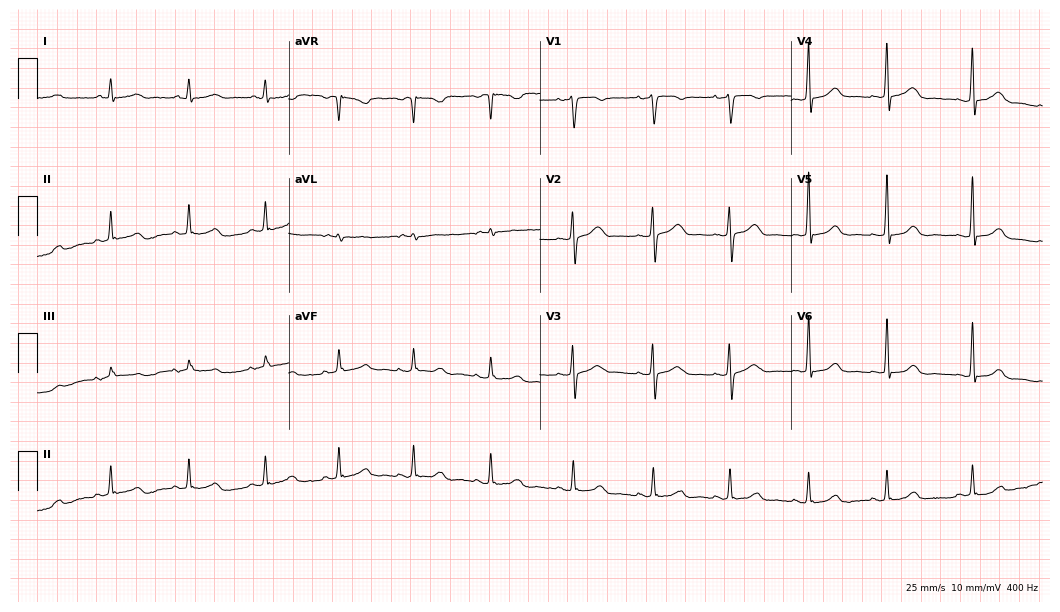
ECG (10.2-second recording at 400 Hz) — a female, 47 years old. Labelled as a normal ECG.